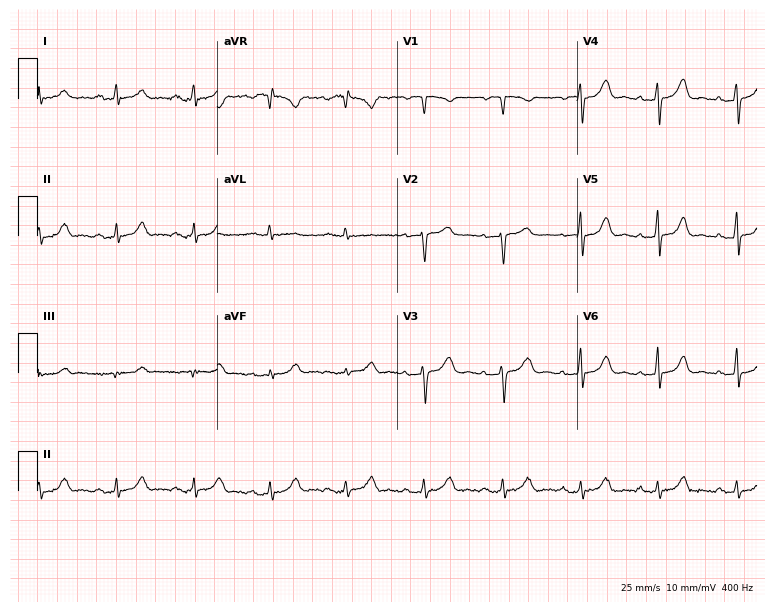
Resting 12-lead electrocardiogram (7.3-second recording at 400 Hz). Patient: a woman, 46 years old. Read as a normal ECG.